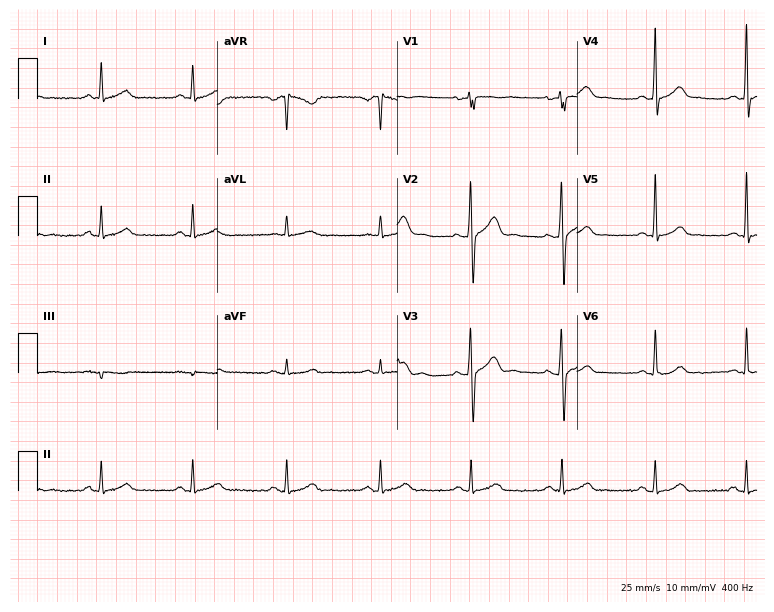
Standard 12-lead ECG recorded from a man, 33 years old. None of these six findings is recorded: first-degree AV block, right bundle branch block, left bundle branch block, sinus bradycardia, atrial fibrillation, sinus tachycardia. Only these six findings were labelled.